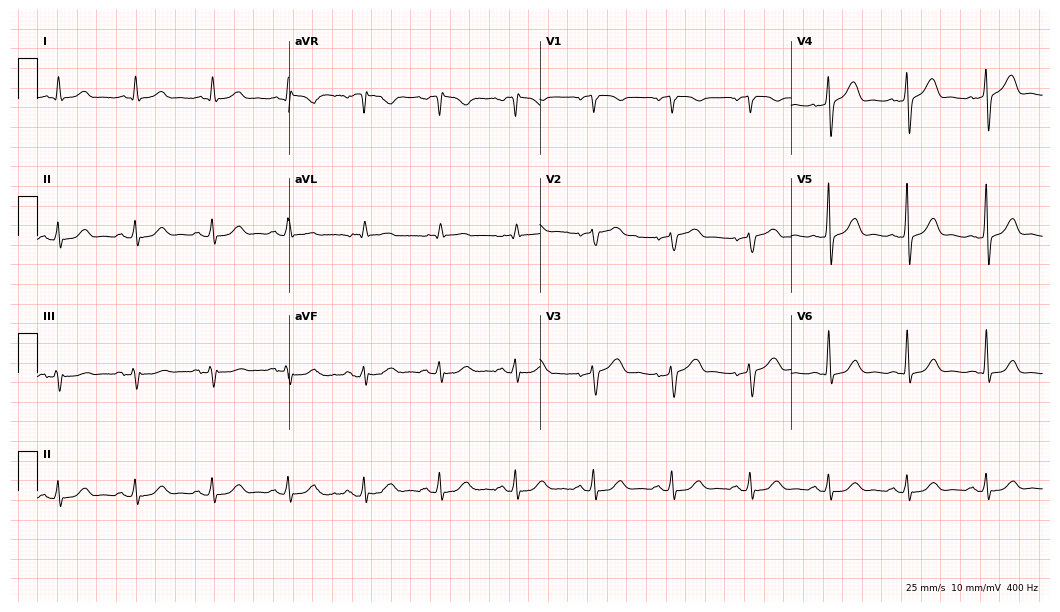
ECG (10.2-second recording at 400 Hz) — a 61-year-old man. Labelled as a normal ECG.